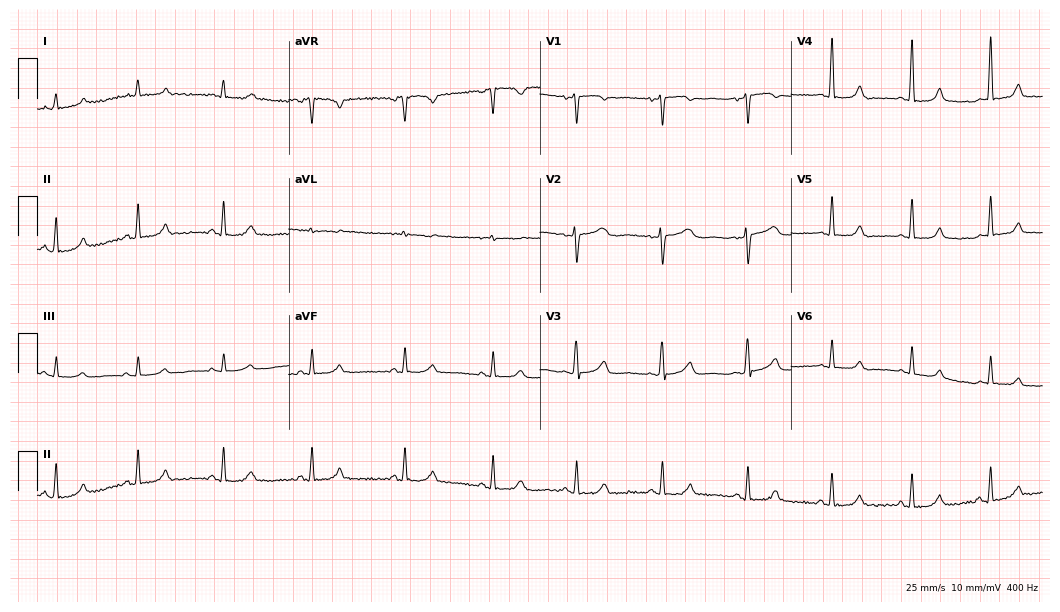
Standard 12-lead ECG recorded from a female, 46 years old. Read as a normal ECG.